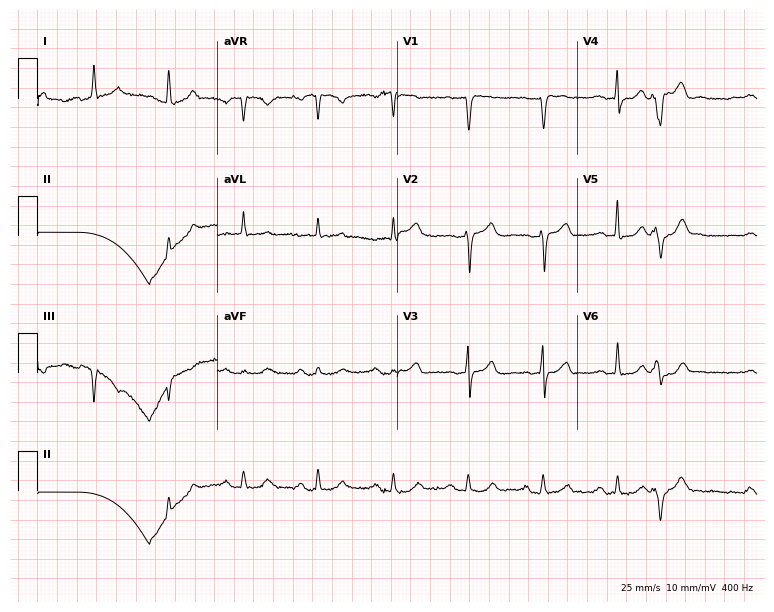
12-lead ECG (7.3-second recording at 400 Hz) from a female, 80 years old. Labelled as a normal ECG.